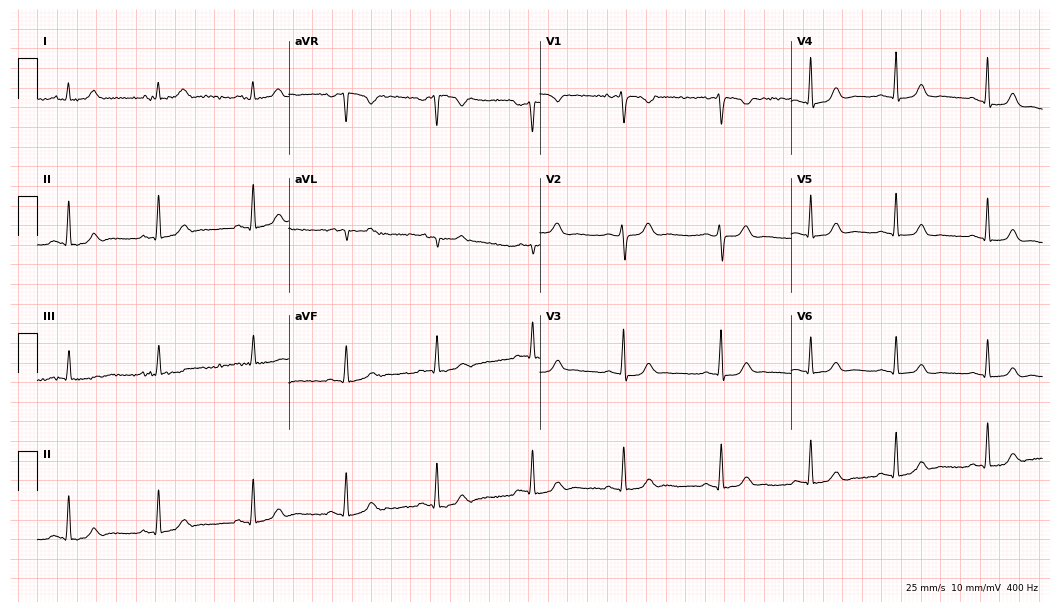
Resting 12-lead electrocardiogram (10.2-second recording at 400 Hz). Patient: a female, 29 years old. None of these six findings is recorded: first-degree AV block, right bundle branch block, left bundle branch block, sinus bradycardia, atrial fibrillation, sinus tachycardia.